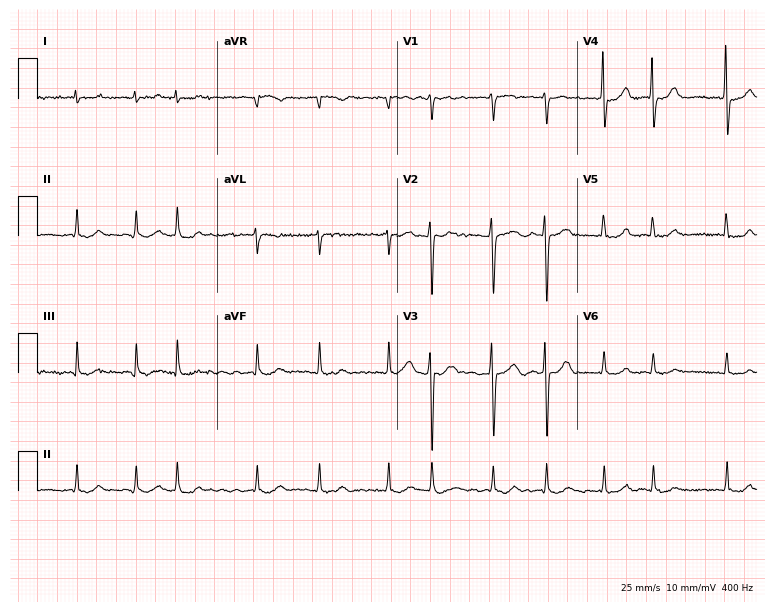
12-lead ECG from a female, 73 years old. Findings include atrial fibrillation.